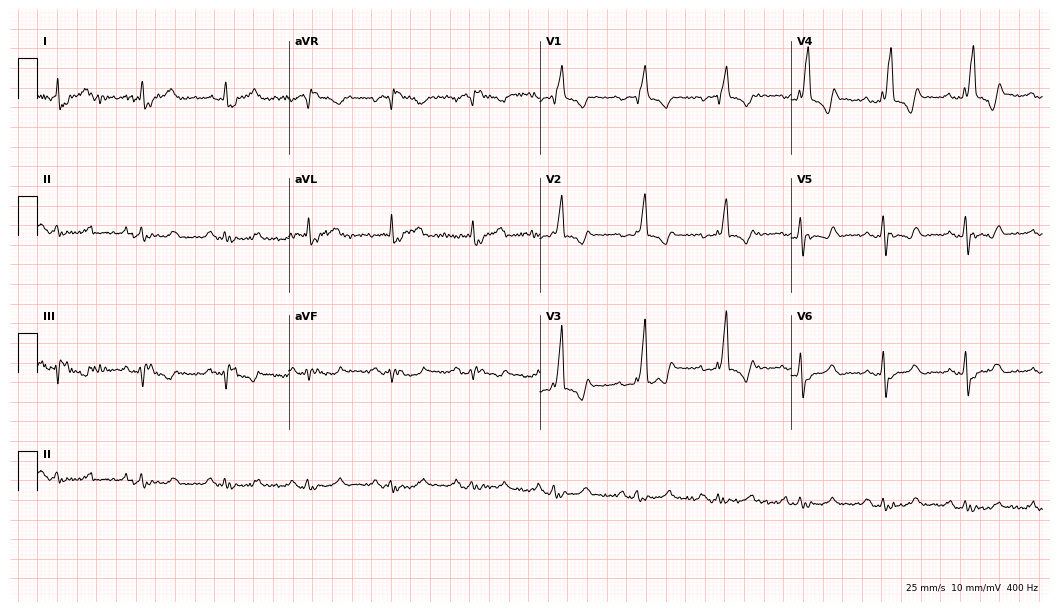
Electrocardiogram (10.2-second recording at 400 Hz), a 76-year-old female patient. Interpretation includes right bundle branch block.